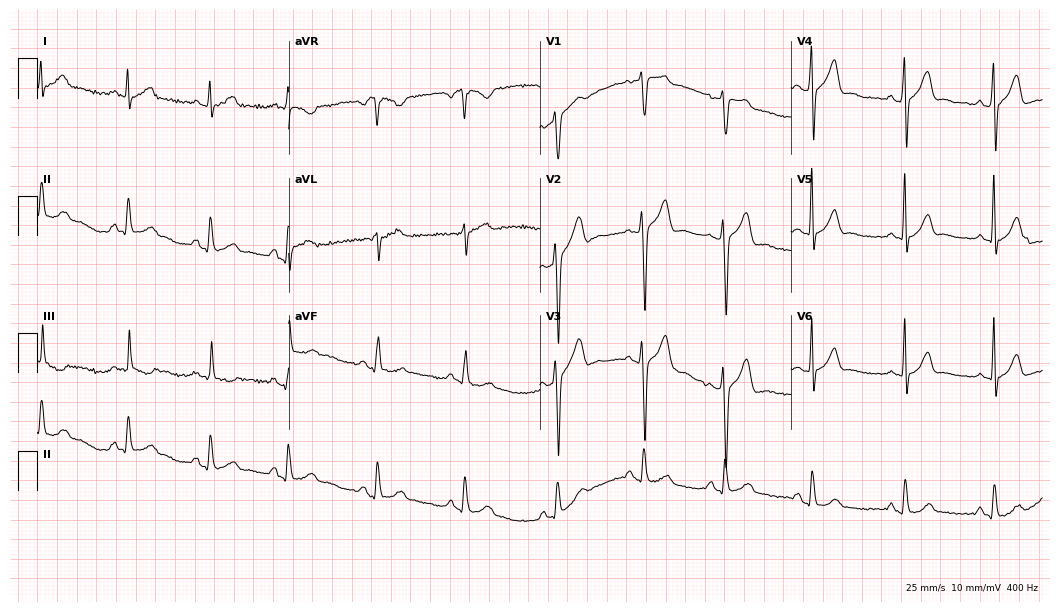
ECG (10.2-second recording at 400 Hz) — a man, 29 years old. Labelled as a normal ECG.